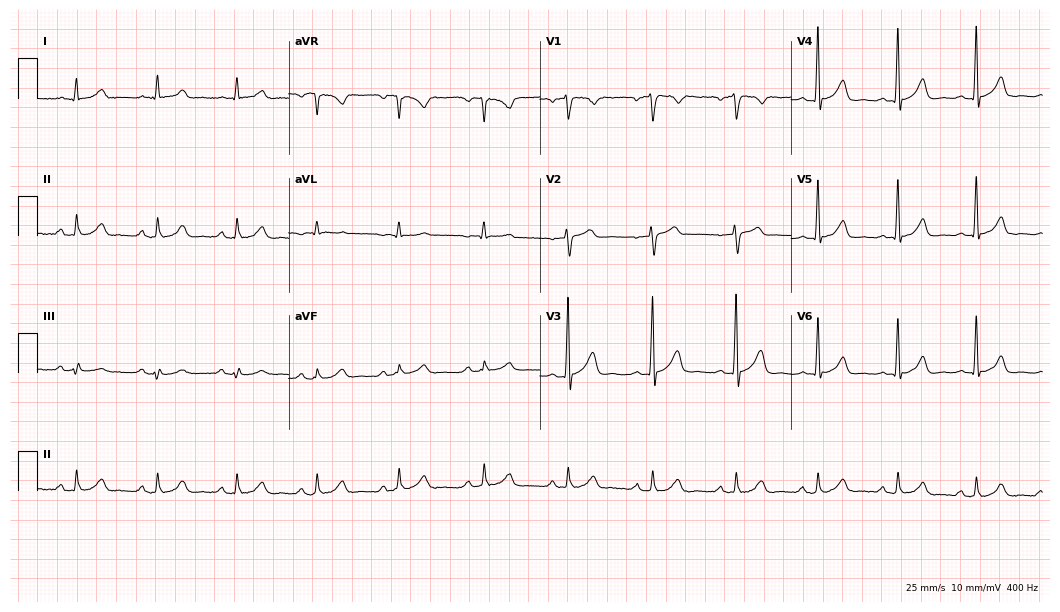
Standard 12-lead ECG recorded from a male patient, 54 years old. Read as a normal ECG.